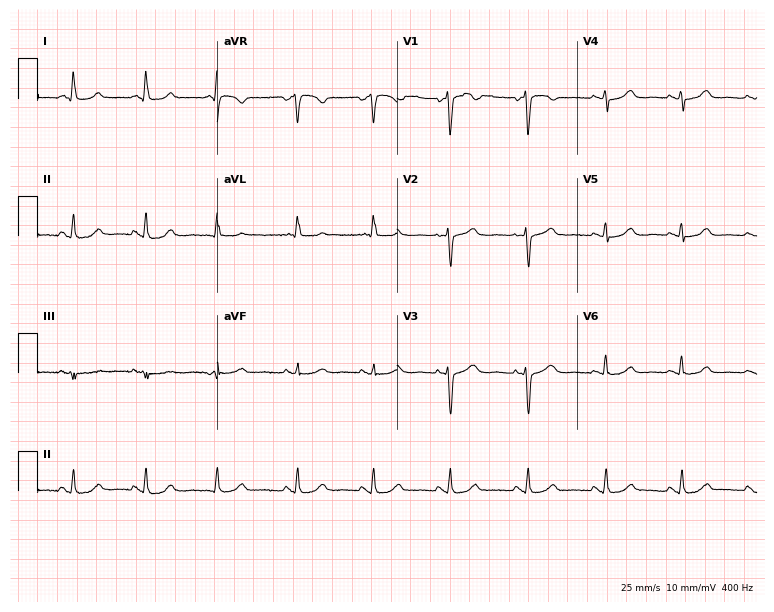
Resting 12-lead electrocardiogram. Patient: a 57-year-old woman. None of these six findings is recorded: first-degree AV block, right bundle branch block, left bundle branch block, sinus bradycardia, atrial fibrillation, sinus tachycardia.